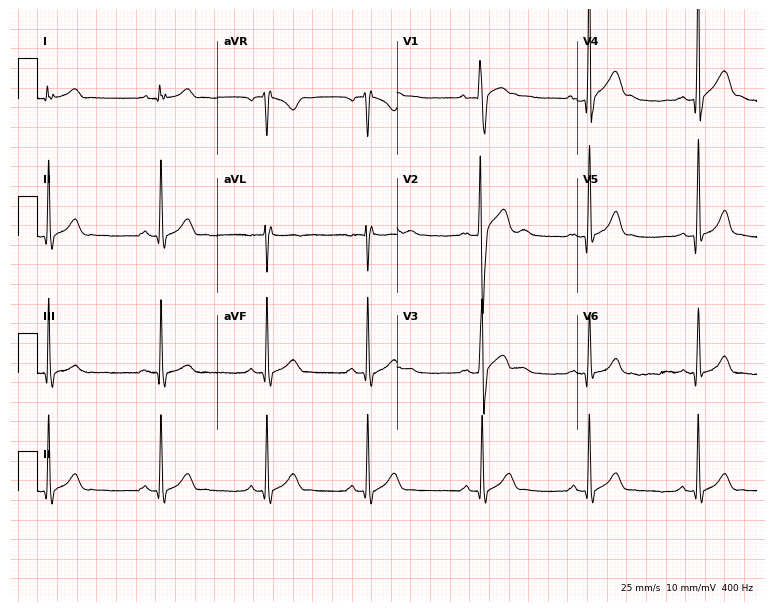
12-lead ECG from a male, 18 years old. Labelled as a normal ECG.